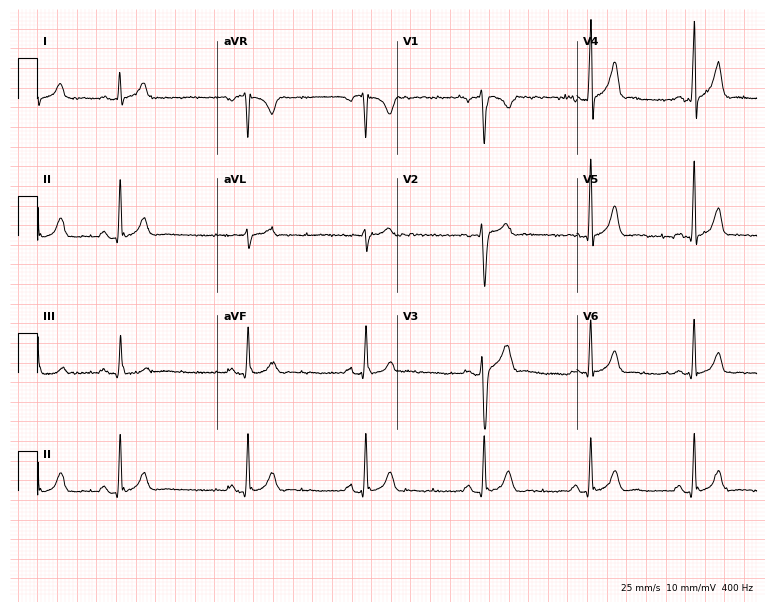
Standard 12-lead ECG recorded from an 18-year-old male (7.3-second recording at 400 Hz). Read as a normal ECG.